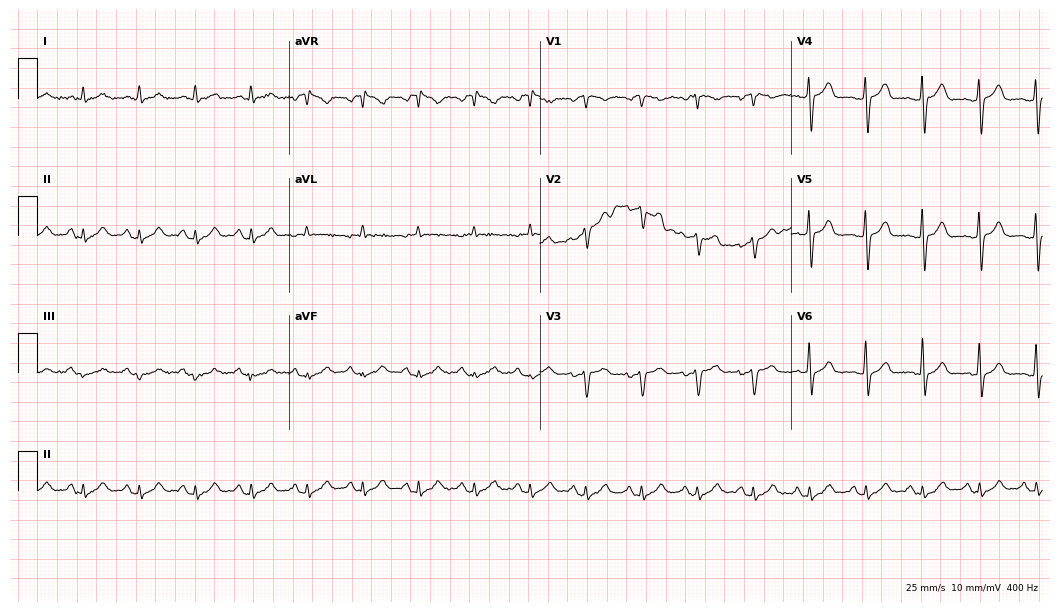
ECG (10.2-second recording at 400 Hz) — a 71-year-old male patient. Findings include sinus tachycardia (a sinus rate of 100 beats per minute or more).